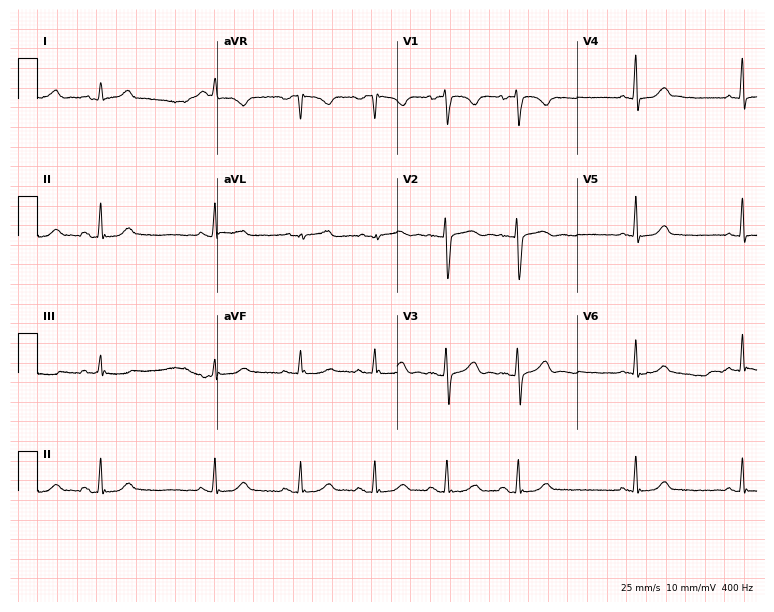
12-lead ECG (7.3-second recording at 400 Hz) from a 20-year-old female patient. Screened for six findings — first-degree AV block, right bundle branch block, left bundle branch block, sinus bradycardia, atrial fibrillation, sinus tachycardia — none is recorded.